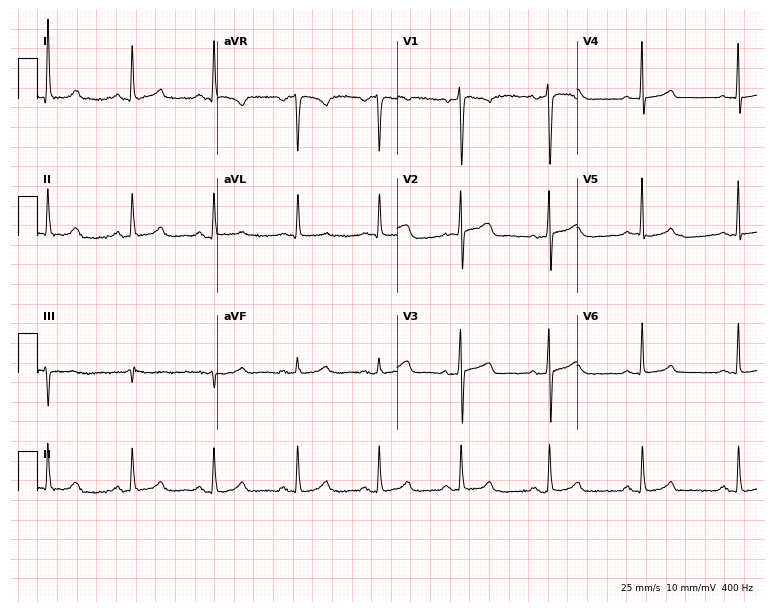
12-lead ECG (7.3-second recording at 400 Hz) from a 44-year-old female patient. Labelled as a normal ECG.